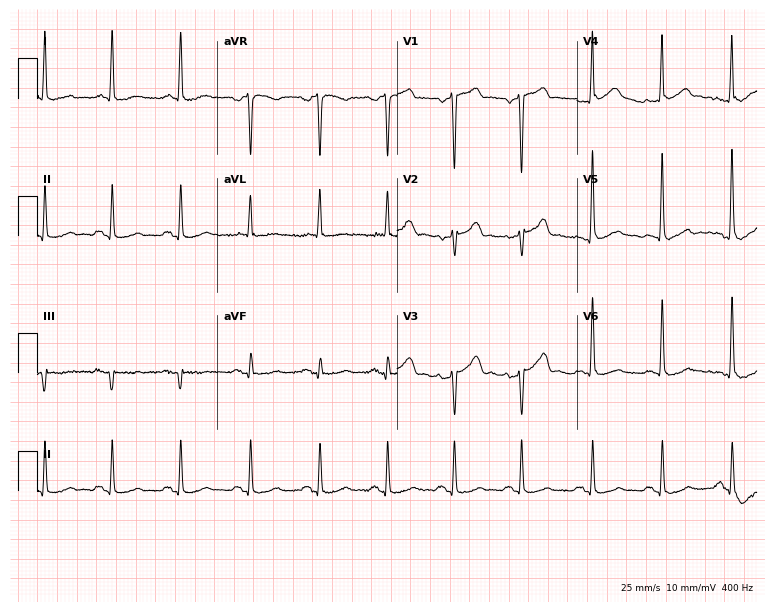
12-lead ECG (7.3-second recording at 400 Hz) from a male patient, 65 years old. Screened for six findings — first-degree AV block, right bundle branch block, left bundle branch block, sinus bradycardia, atrial fibrillation, sinus tachycardia — none is recorded.